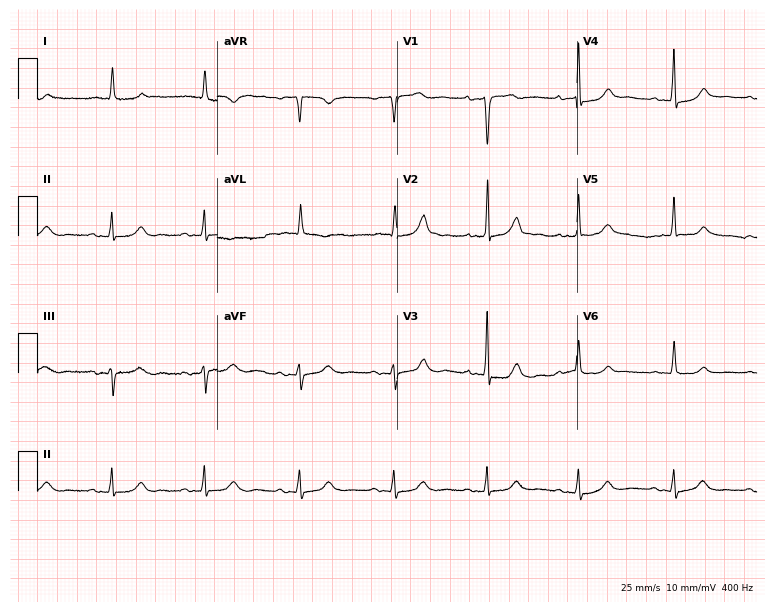
Resting 12-lead electrocardiogram. Patient: an 81-year-old female. Read as a normal ECG.